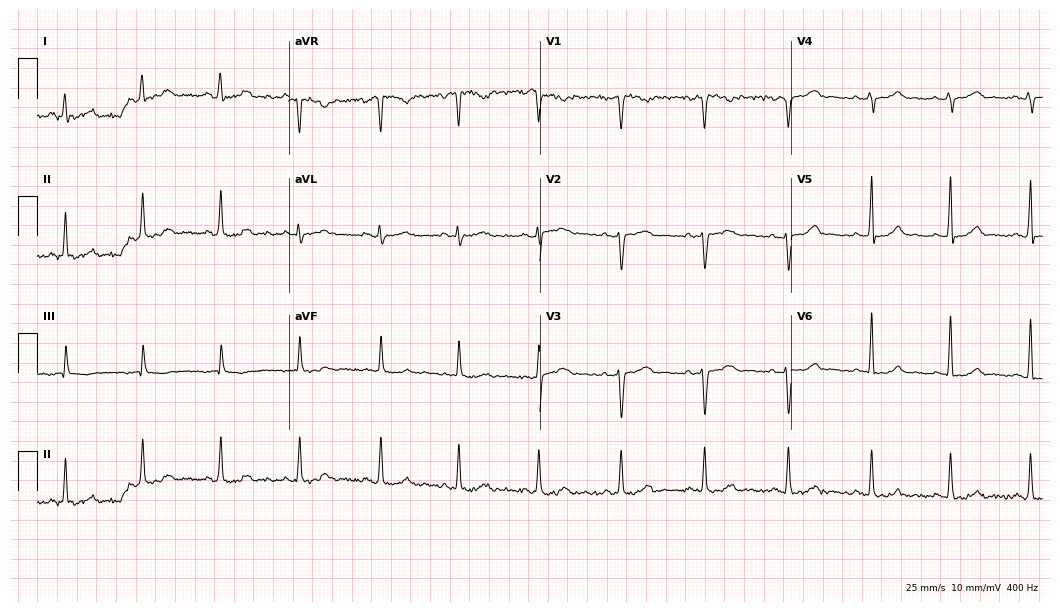
Resting 12-lead electrocardiogram. Patient: a woman, 26 years old. Read as a normal ECG.